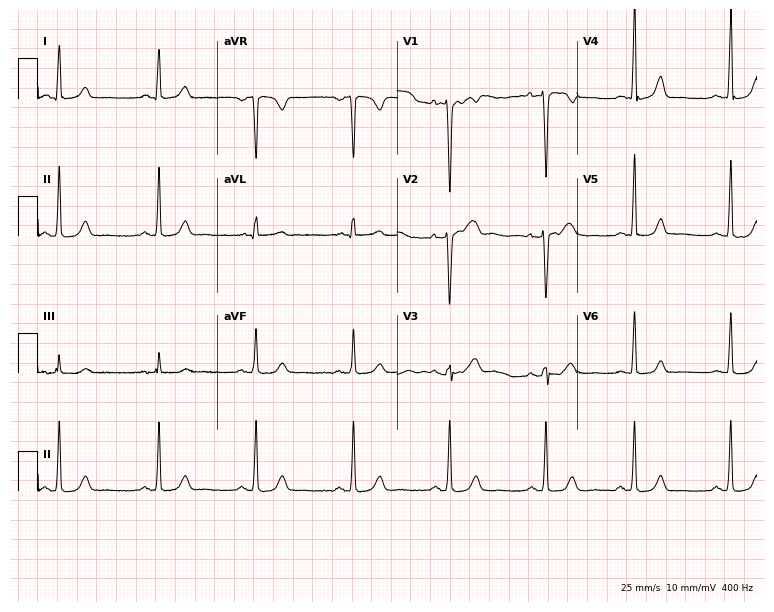
Standard 12-lead ECG recorded from a 46-year-old female patient. Read as a normal ECG.